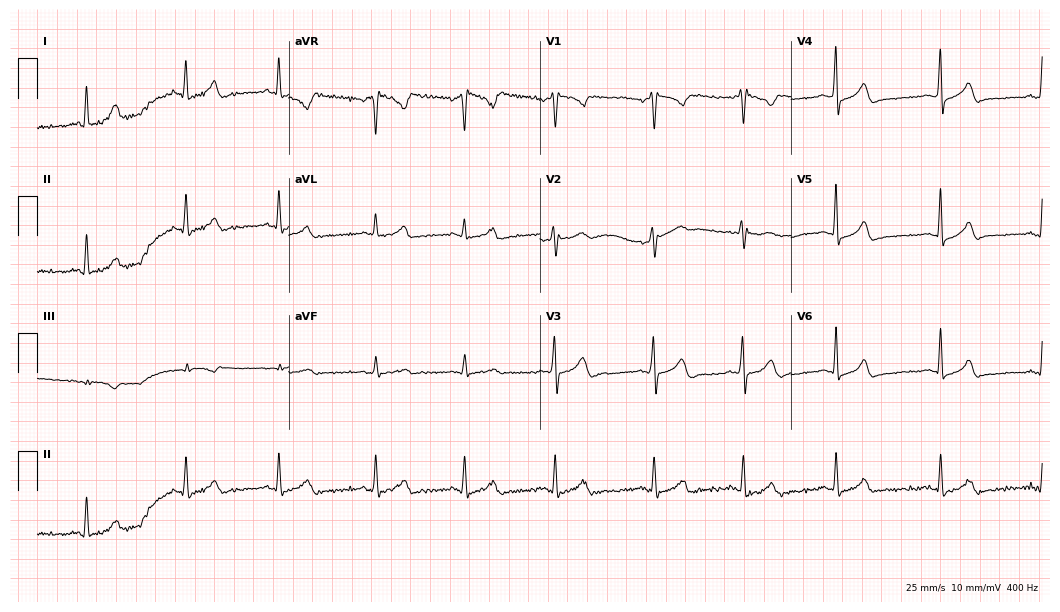
12-lead ECG from a female patient, 39 years old. No first-degree AV block, right bundle branch block, left bundle branch block, sinus bradycardia, atrial fibrillation or sinus tachycardia recorded for this tracing. Only these six findings were labelled.